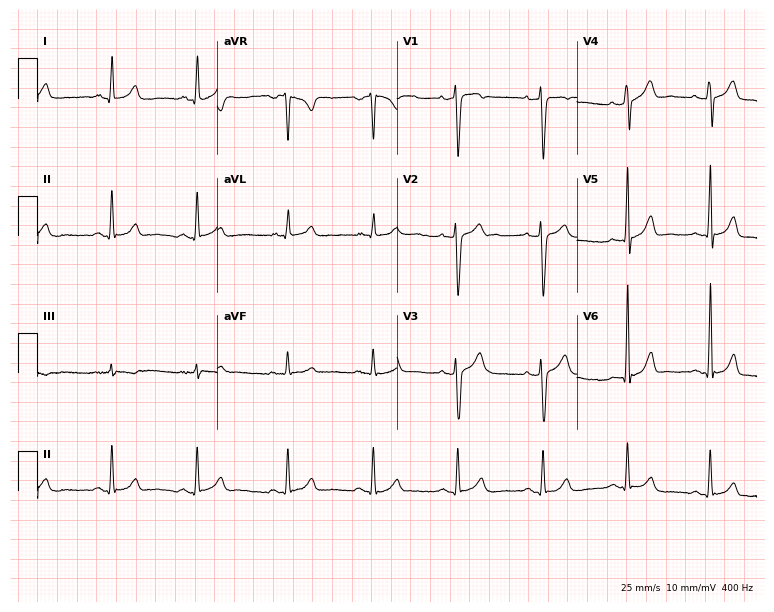
12-lead ECG from a male, 25 years old. Recorded interpretation: within normal limits.